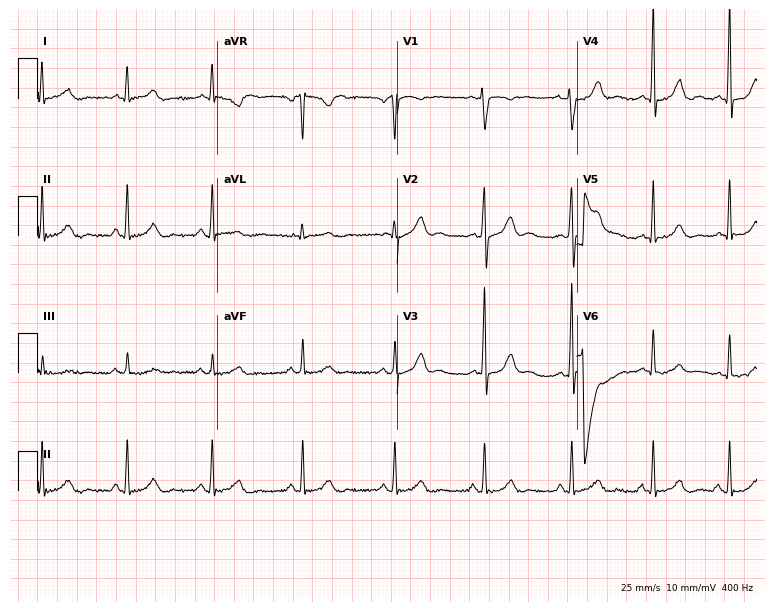
Electrocardiogram, a 41-year-old female. Of the six screened findings (first-degree AV block, right bundle branch block, left bundle branch block, sinus bradycardia, atrial fibrillation, sinus tachycardia), none is recorded.